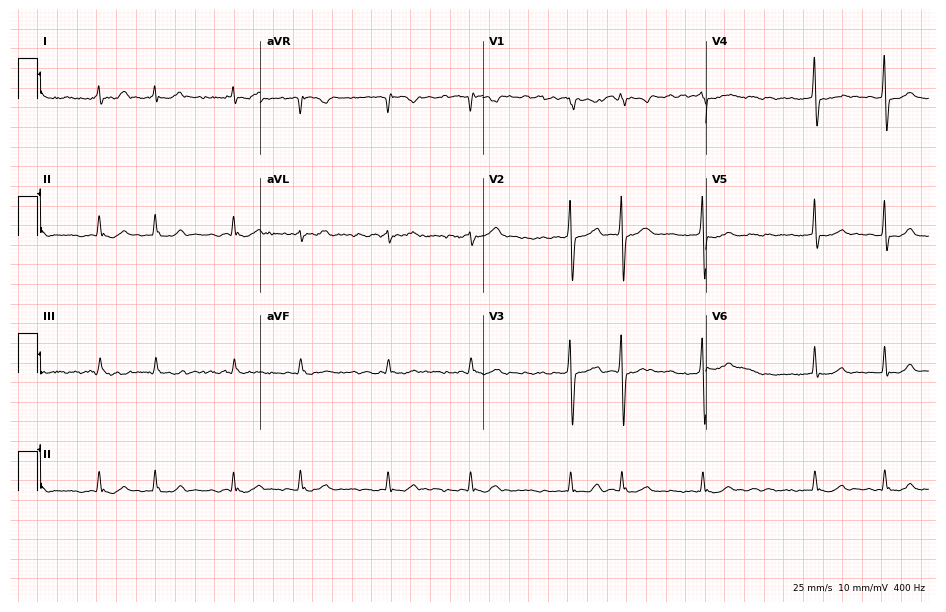
ECG (9.1-second recording at 400 Hz) — an 81-year-old woman. Findings include atrial fibrillation (AF).